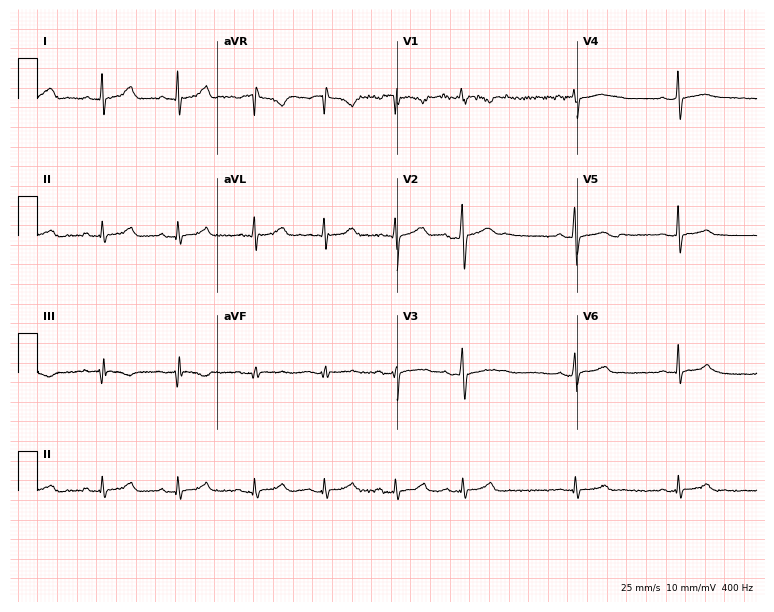
Electrocardiogram (7.3-second recording at 400 Hz), a 20-year-old man. Overall reading on record: normal ECG.